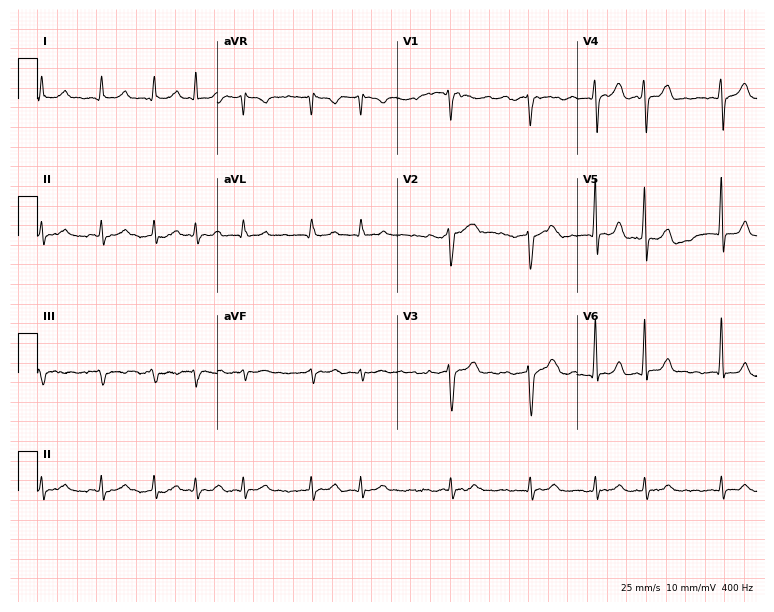
12-lead ECG from an 80-year-old male. Findings include atrial fibrillation.